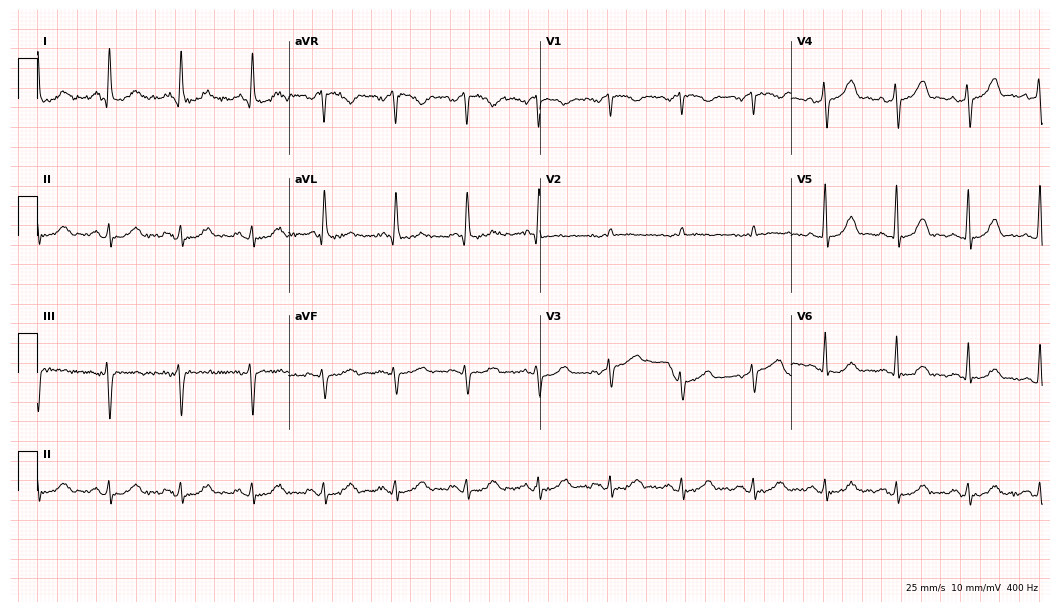
Resting 12-lead electrocardiogram (10.2-second recording at 400 Hz). Patient: a woman, 76 years old. None of these six findings is recorded: first-degree AV block, right bundle branch block, left bundle branch block, sinus bradycardia, atrial fibrillation, sinus tachycardia. Only these six findings were labelled.